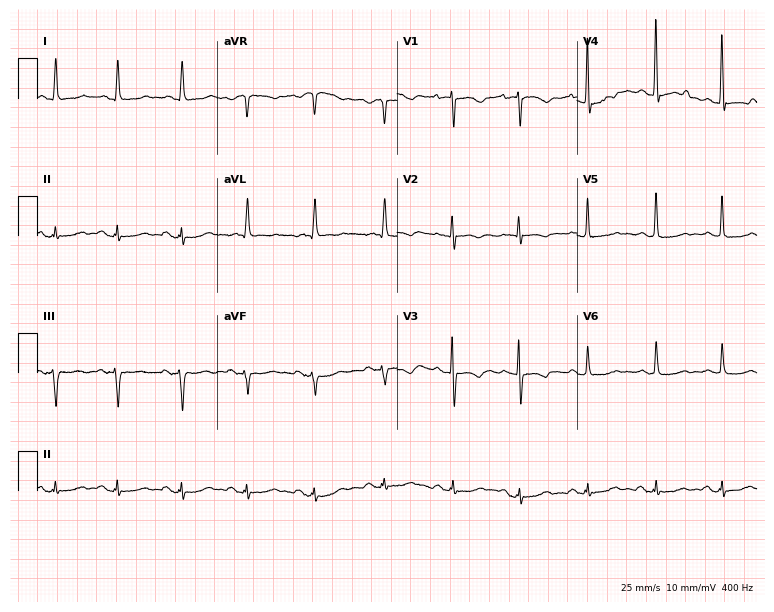
ECG (7.3-second recording at 400 Hz) — a female patient, 72 years old. Screened for six findings — first-degree AV block, right bundle branch block (RBBB), left bundle branch block (LBBB), sinus bradycardia, atrial fibrillation (AF), sinus tachycardia — none is recorded. Only these six findings were labelled.